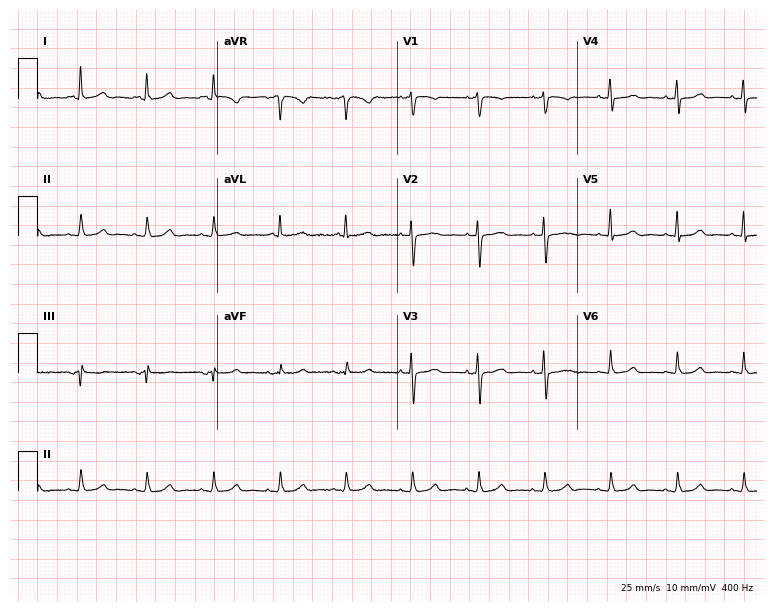
12-lead ECG from a female, 70 years old (7.3-second recording at 400 Hz). Recorded interpretation: within normal limits.